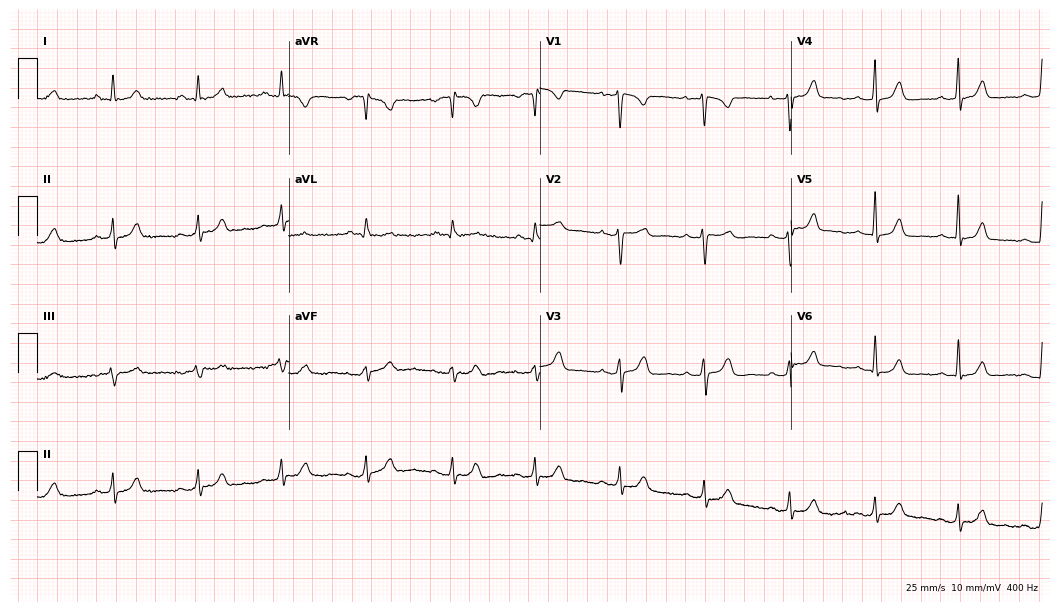
12-lead ECG (10.2-second recording at 400 Hz) from a female, 43 years old. Labelled as a normal ECG.